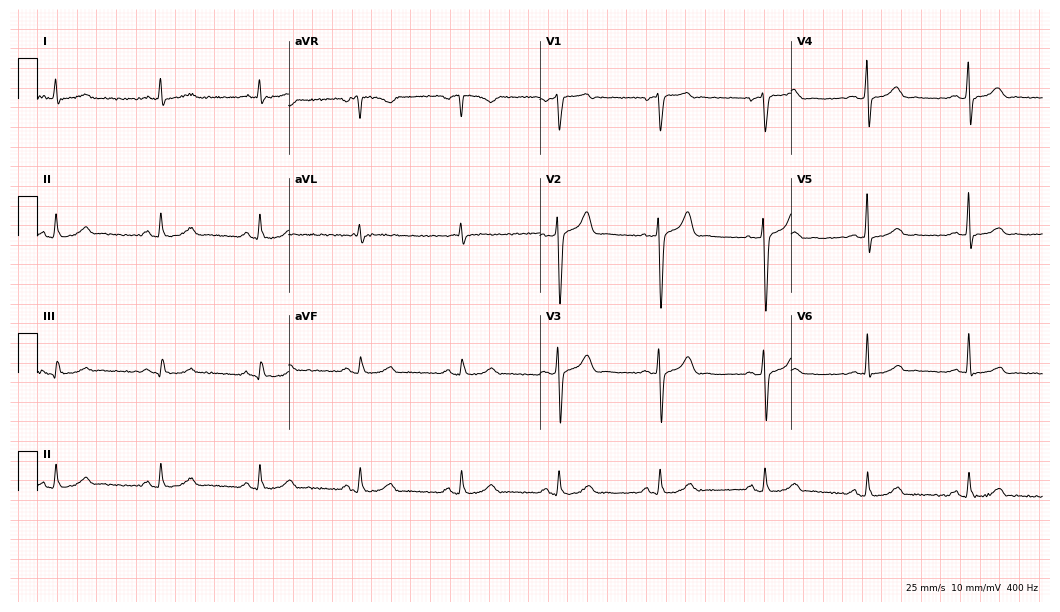
Resting 12-lead electrocardiogram. Patient: a woman, 40 years old. Read as a normal ECG.